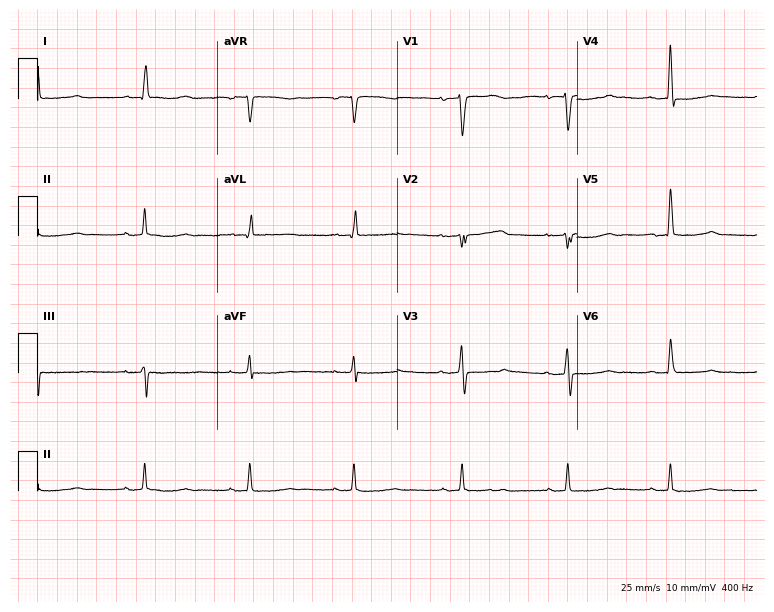
12-lead ECG from a 62-year-old female (7.3-second recording at 400 Hz). No first-degree AV block, right bundle branch block (RBBB), left bundle branch block (LBBB), sinus bradycardia, atrial fibrillation (AF) or sinus tachycardia recorded for this tracing. Only these six findings were labelled.